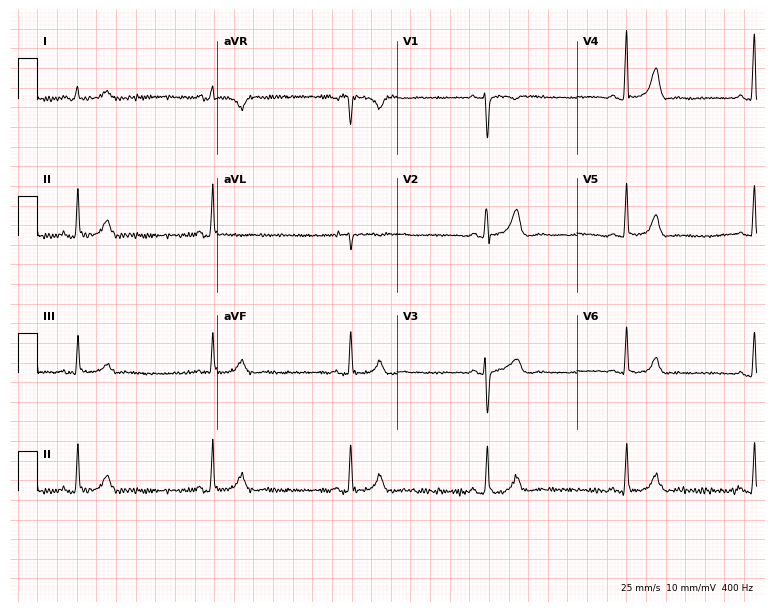
12-lead ECG (7.3-second recording at 400 Hz) from a female, 29 years old. Screened for six findings — first-degree AV block, right bundle branch block (RBBB), left bundle branch block (LBBB), sinus bradycardia, atrial fibrillation (AF), sinus tachycardia — none is recorded. Other findings, if any, are not listed.